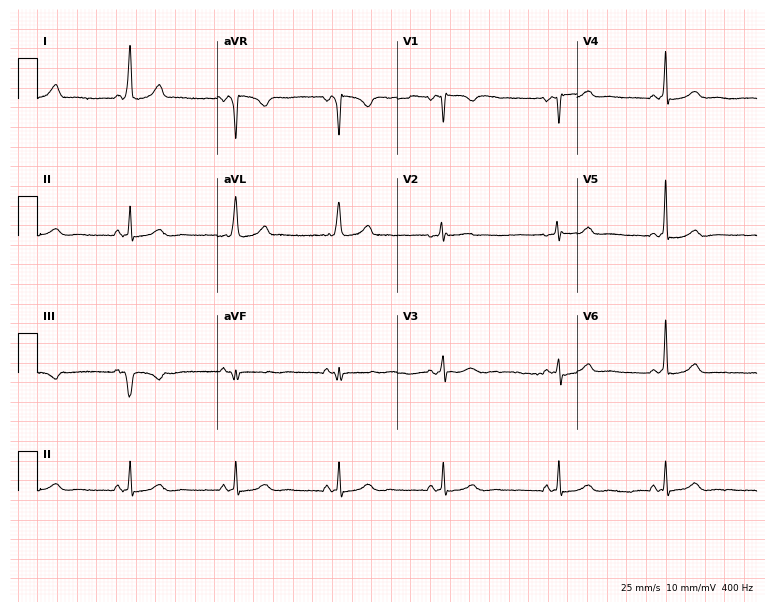
Standard 12-lead ECG recorded from a female, 41 years old. Read as a normal ECG.